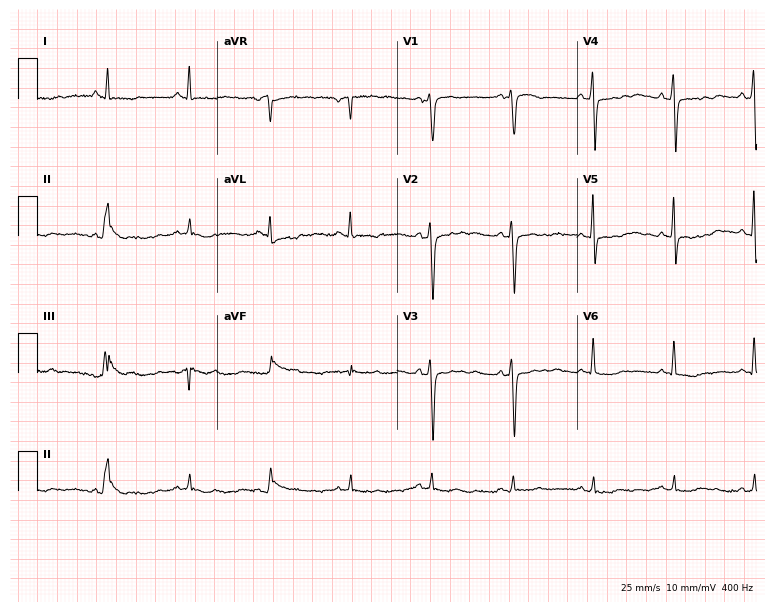
ECG — a 63-year-old woman. Screened for six findings — first-degree AV block, right bundle branch block, left bundle branch block, sinus bradycardia, atrial fibrillation, sinus tachycardia — none is recorded. Only these six findings were labelled.